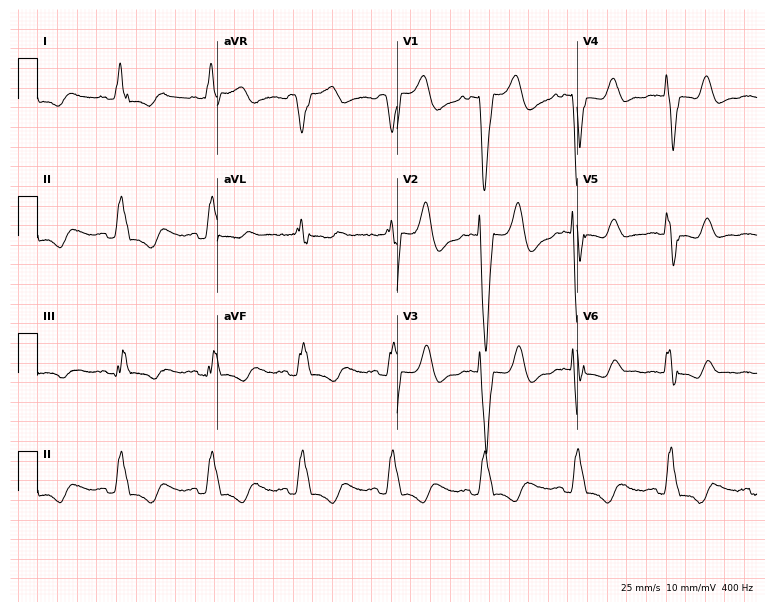
Electrocardiogram (7.3-second recording at 400 Hz), a 73-year-old female. Interpretation includes left bundle branch block.